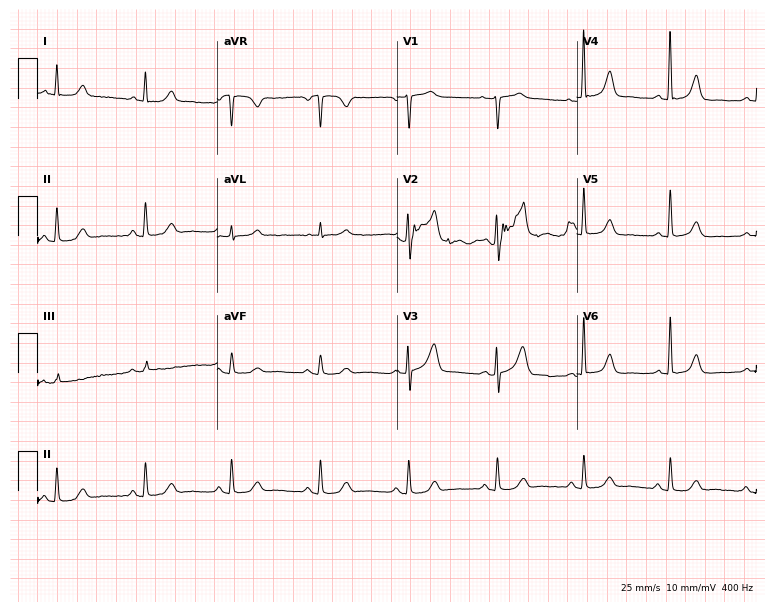
Standard 12-lead ECG recorded from a female patient, 58 years old (7.3-second recording at 400 Hz). None of these six findings is recorded: first-degree AV block, right bundle branch block, left bundle branch block, sinus bradycardia, atrial fibrillation, sinus tachycardia. Only these six findings were labelled.